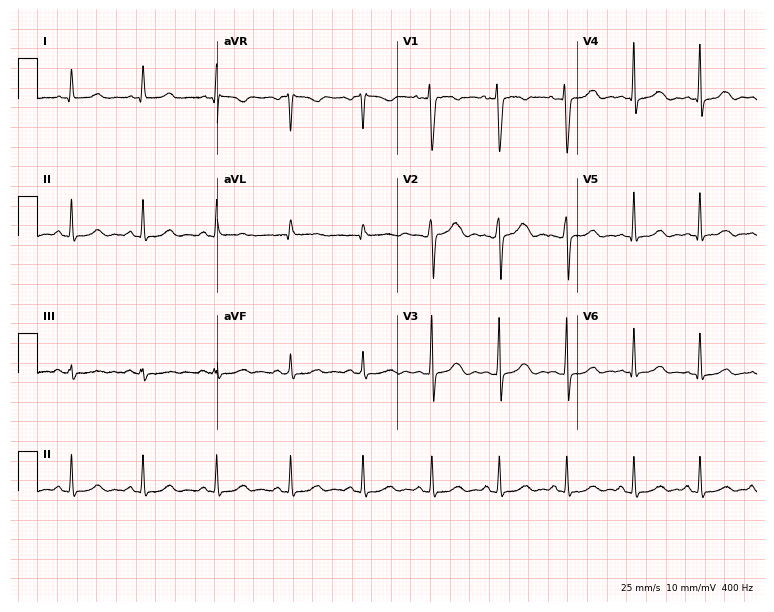
Standard 12-lead ECG recorded from a female, 41 years old (7.3-second recording at 400 Hz). Read as a normal ECG.